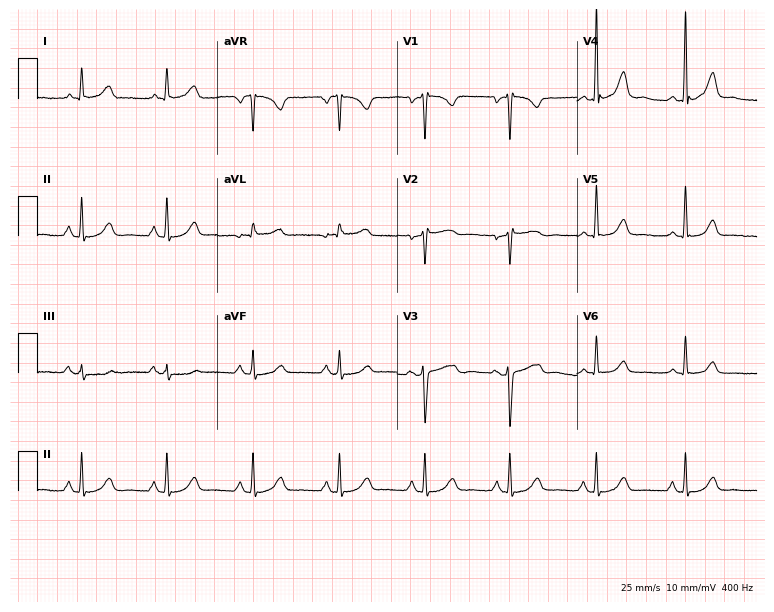
Electrocardiogram, a 46-year-old female patient. Of the six screened findings (first-degree AV block, right bundle branch block, left bundle branch block, sinus bradycardia, atrial fibrillation, sinus tachycardia), none is recorded.